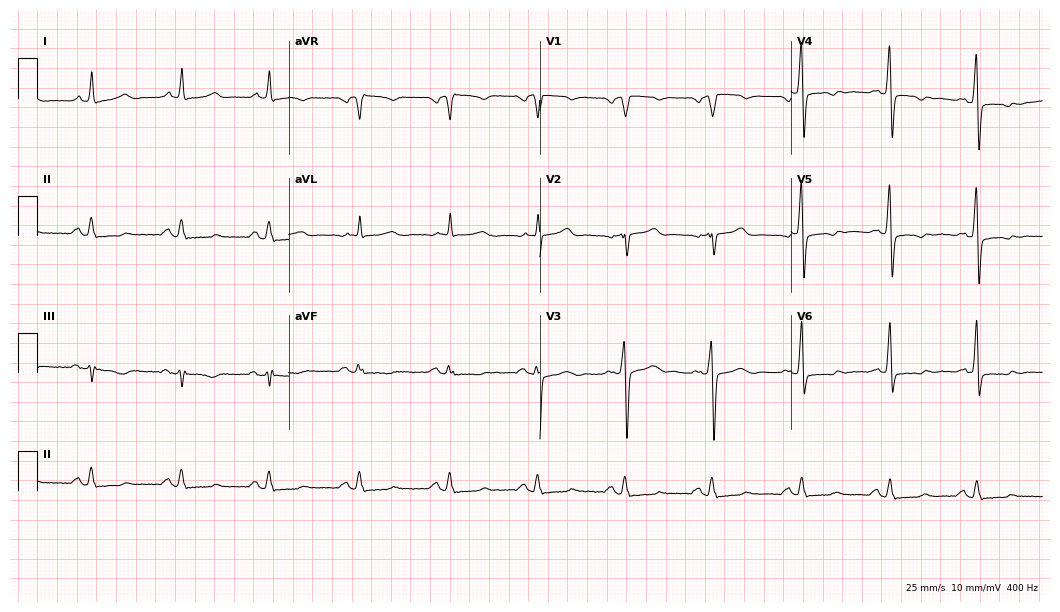
Resting 12-lead electrocardiogram. Patient: a male, 51 years old. None of these six findings is recorded: first-degree AV block, right bundle branch block, left bundle branch block, sinus bradycardia, atrial fibrillation, sinus tachycardia.